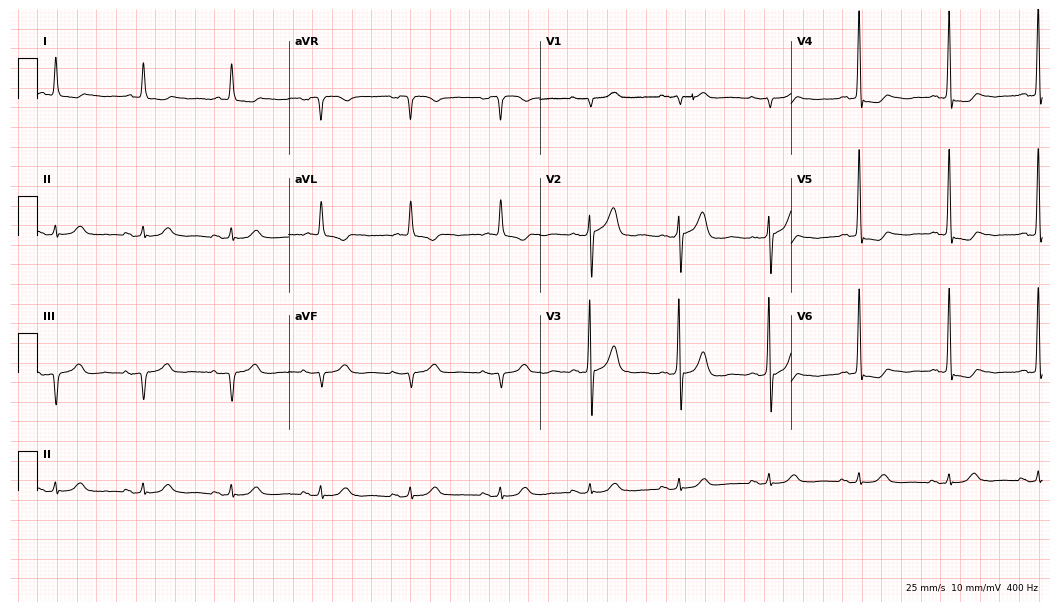
Standard 12-lead ECG recorded from a male, 79 years old (10.2-second recording at 400 Hz). None of these six findings is recorded: first-degree AV block, right bundle branch block (RBBB), left bundle branch block (LBBB), sinus bradycardia, atrial fibrillation (AF), sinus tachycardia. Findings outside these six are not listed.